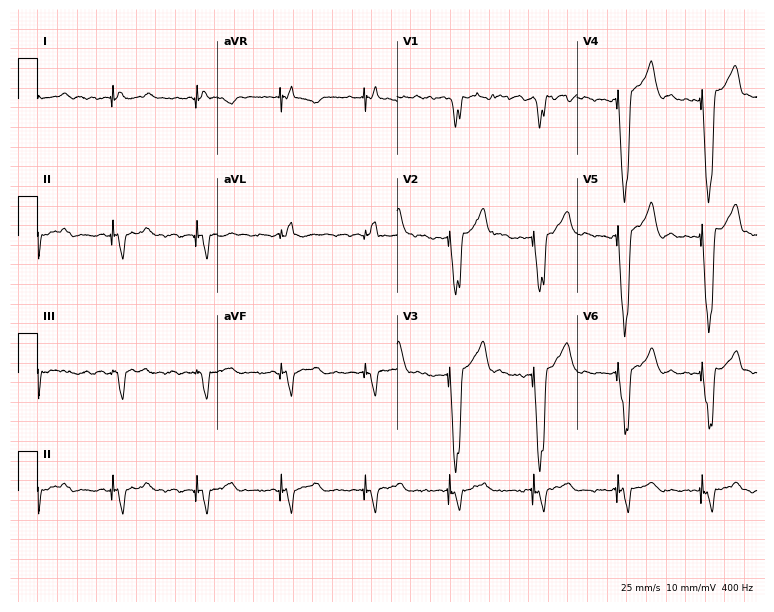
Standard 12-lead ECG recorded from a male, 57 years old. None of these six findings is recorded: first-degree AV block, right bundle branch block, left bundle branch block, sinus bradycardia, atrial fibrillation, sinus tachycardia. Other findings, if any, are not listed.